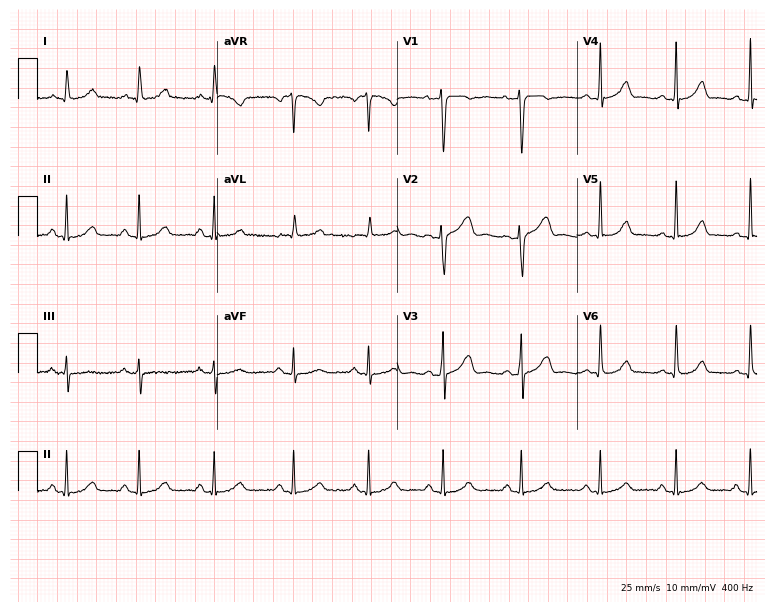
Electrocardiogram (7.3-second recording at 400 Hz), a 46-year-old woman. Of the six screened findings (first-degree AV block, right bundle branch block, left bundle branch block, sinus bradycardia, atrial fibrillation, sinus tachycardia), none is recorded.